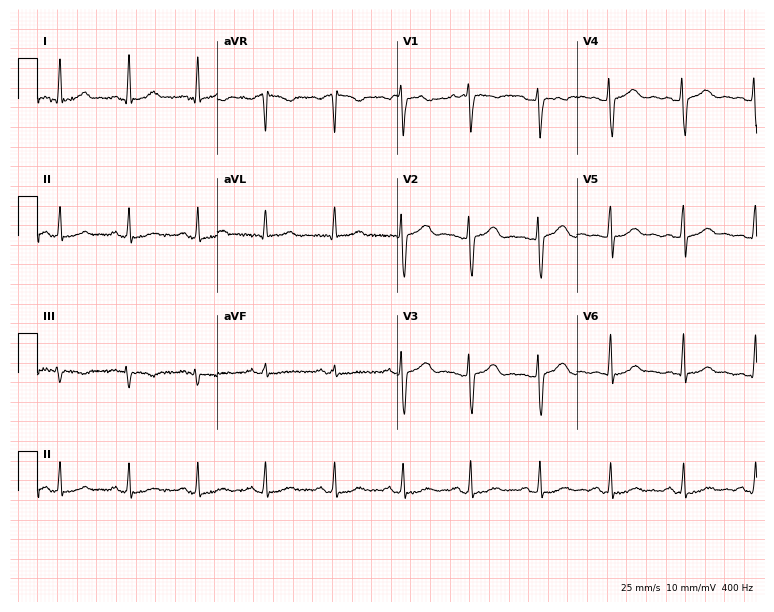
Electrocardiogram, a woman, 27 years old. Of the six screened findings (first-degree AV block, right bundle branch block, left bundle branch block, sinus bradycardia, atrial fibrillation, sinus tachycardia), none is recorded.